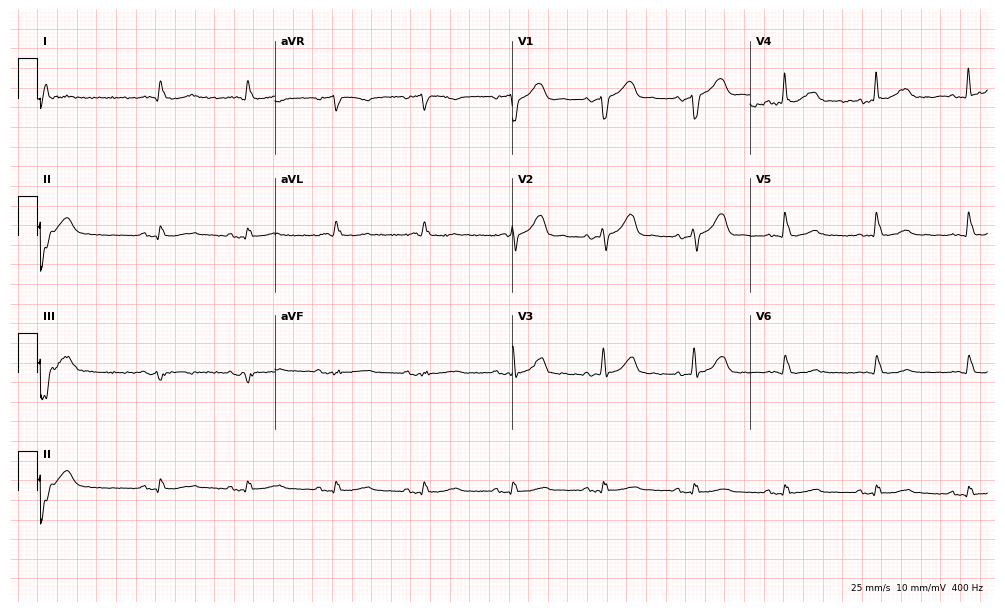
ECG — a 68-year-old male patient. Screened for six findings — first-degree AV block, right bundle branch block, left bundle branch block, sinus bradycardia, atrial fibrillation, sinus tachycardia — none is recorded.